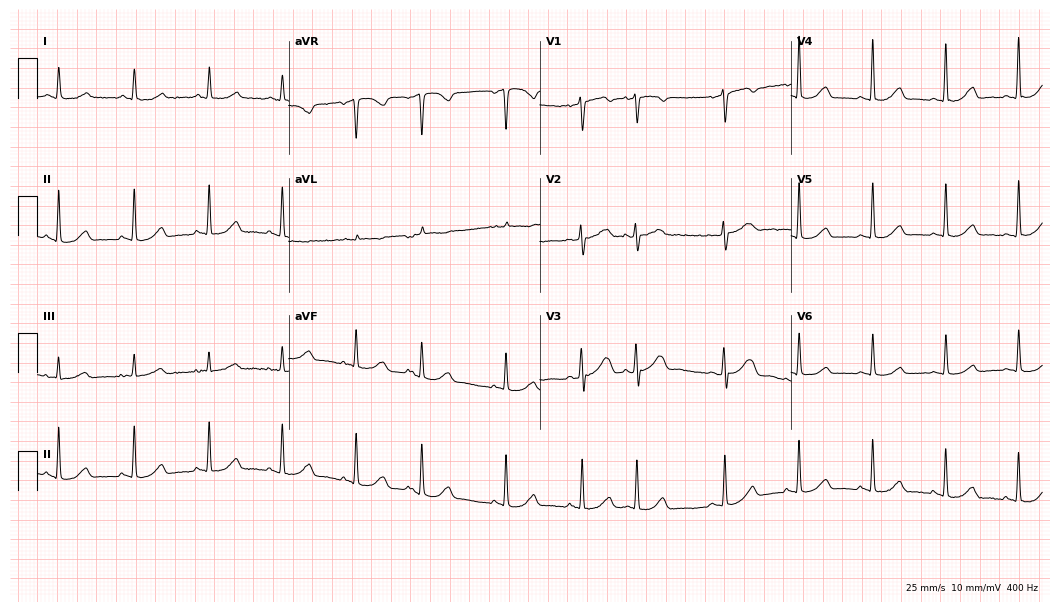
12-lead ECG from an 84-year-old female (10.2-second recording at 400 Hz). No first-degree AV block, right bundle branch block (RBBB), left bundle branch block (LBBB), sinus bradycardia, atrial fibrillation (AF) or sinus tachycardia recorded for this tracing.